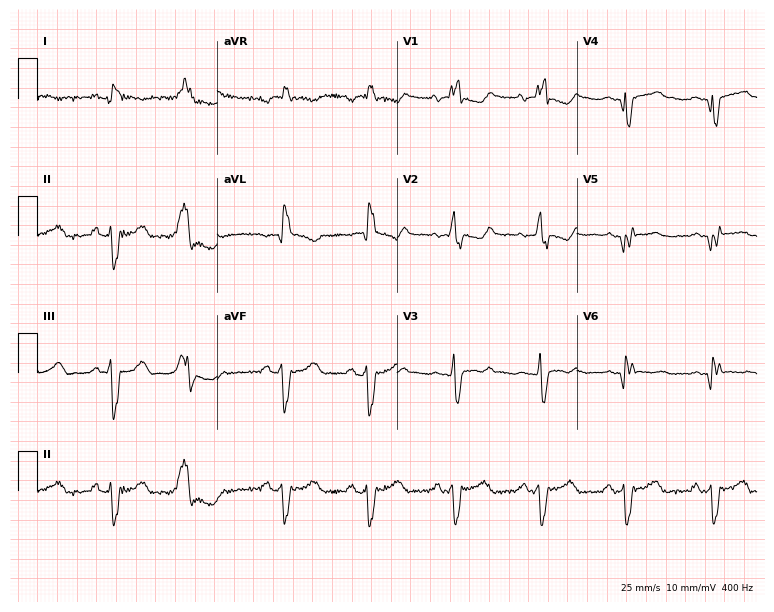
12-lead ECG from a female, 50 years old (7.3-second recording at 400 Hz). Shows right bundle branch block.